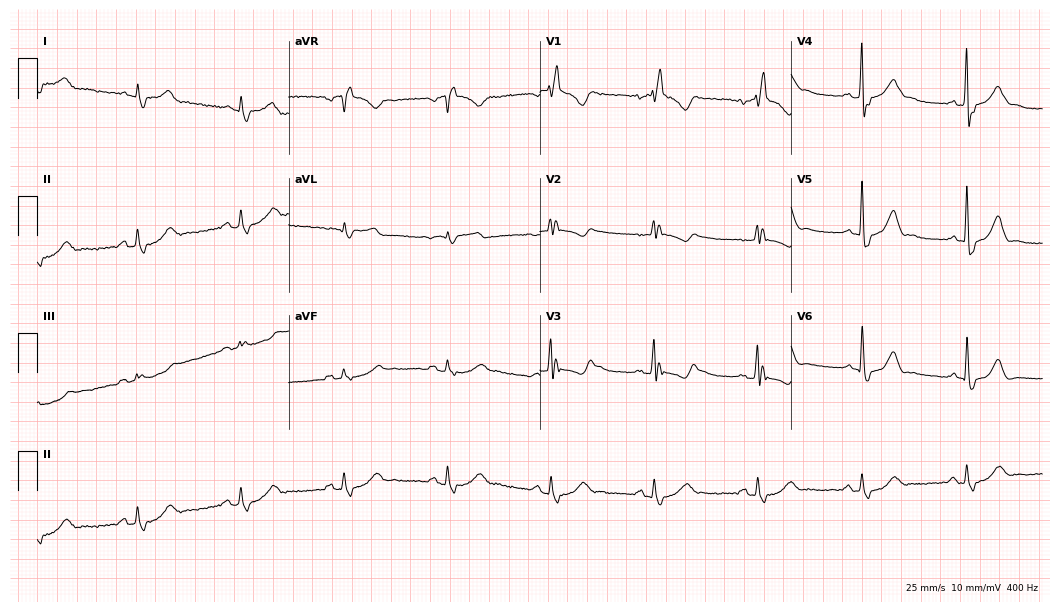
Standard 12-lead ECG recorded from a 77-year-old male patient (10.2-second recording at 400 Hz). The tracing shows right bundle branch block (RBBB).